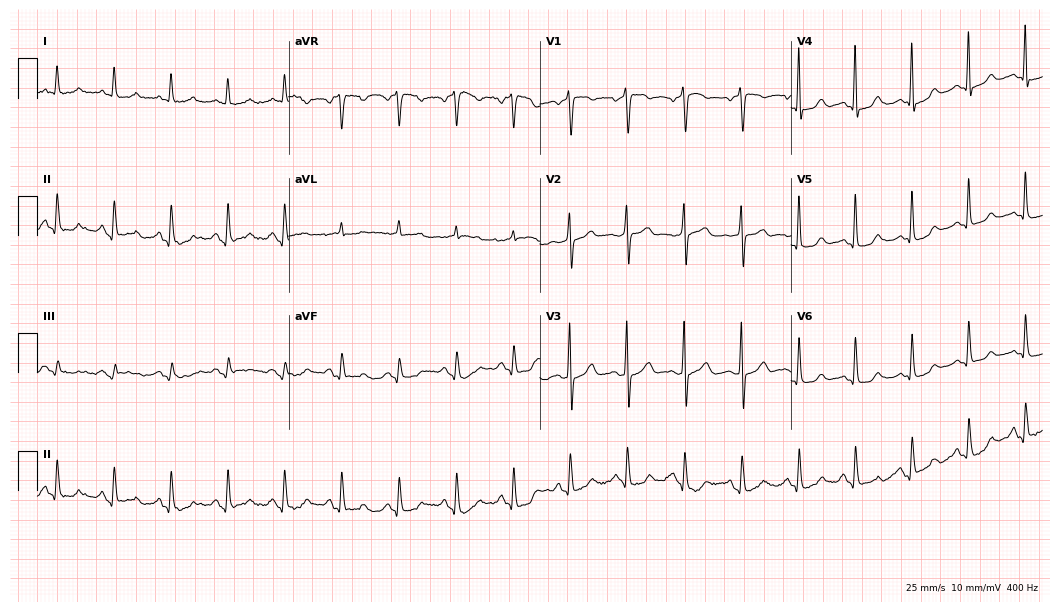
Standard 12-lead ECG recorded from a 71-year-old female patient. The tracing shows sinus tachycardia (a sinus rate of 100 beats per minute or more).